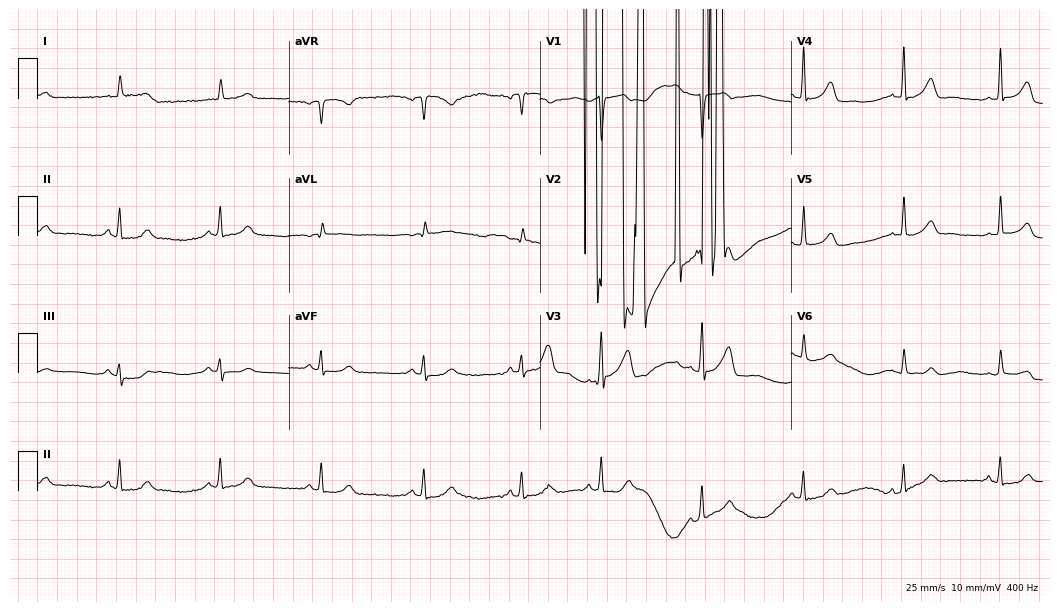
12-lead ECG (10.2-second recording at 400 Hz) from a female, 81 years old. Screened for six findings — first-degree AV block, right bundle branch block, left bundle branch block, sinus bradycardia, atrial fibrillation, sinus tachycardia — none is recorded.